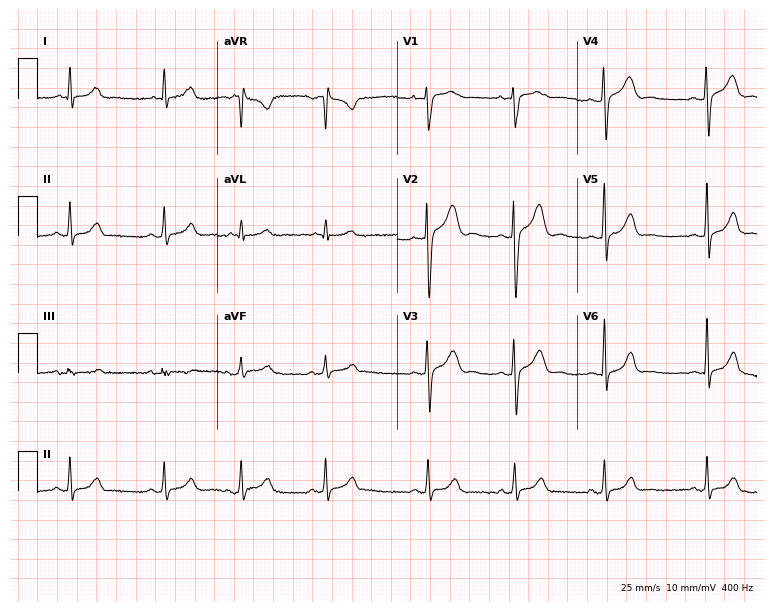
ECG — a 22-year-old female patient. Screened for six findings — first-degree AV block, right bundle branch block, left bundle branch block, sinus bradycardia, atrial fibrillation, sinus tachycardia — none is recorded.